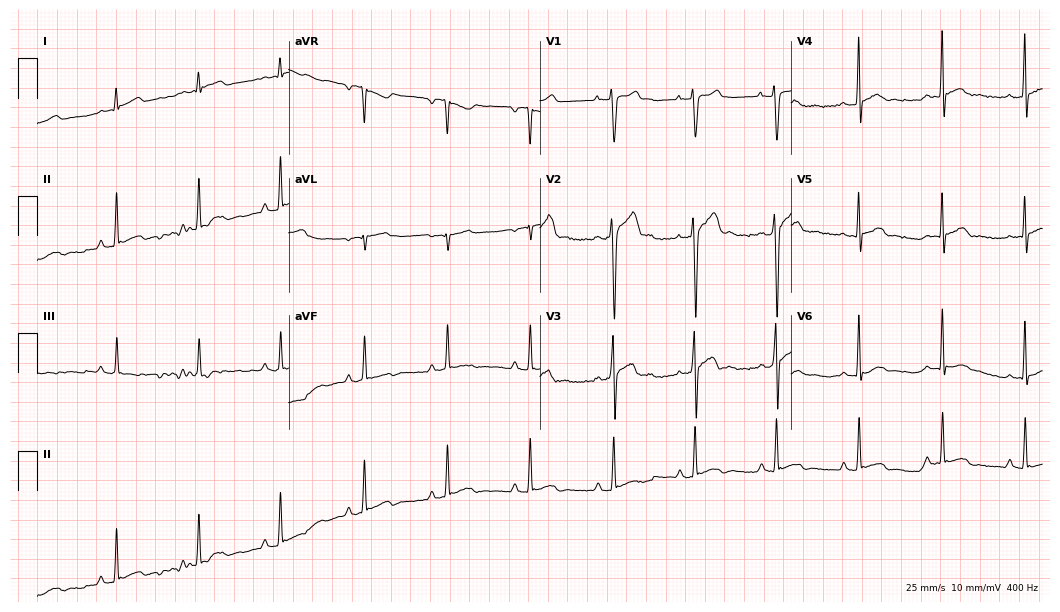
ECG — a 19-year-old male. Labelled as a normal ECG.